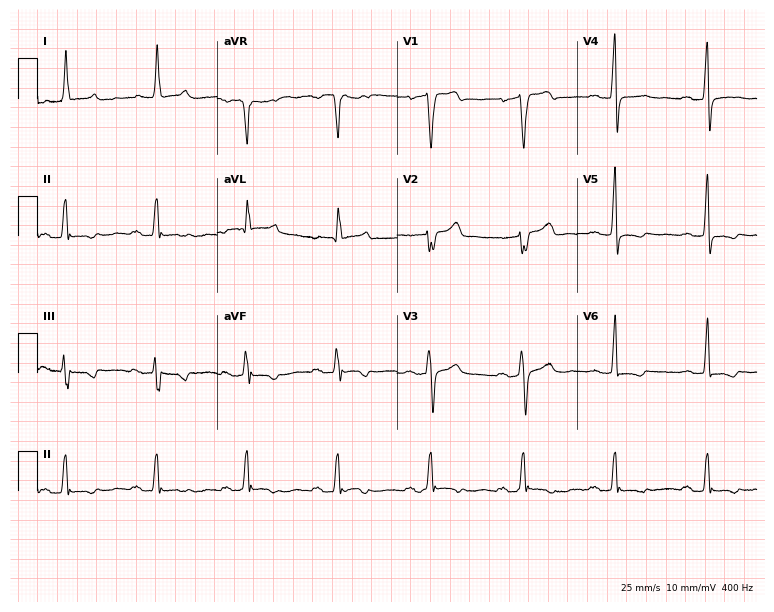
Resting 12-lead electrocardiogram (7.3-second recording at 400 Hz). Patient: a 56-year-old female. The tracing shows first-degree AV block.